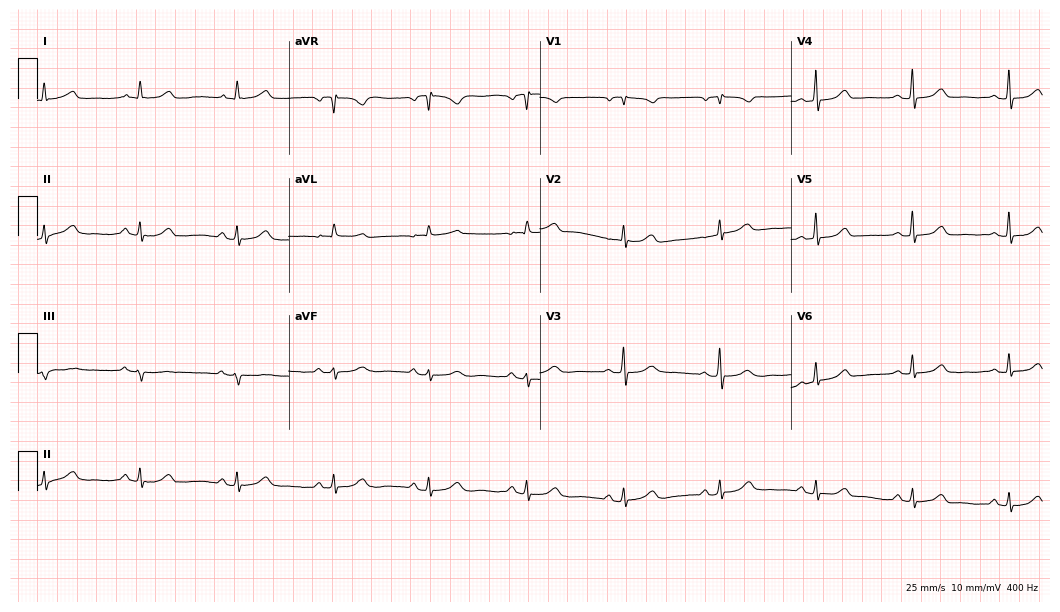
Resting 12-lead electrocardiogram. Patient: a 70-year-old female. Read as a normal ECG.